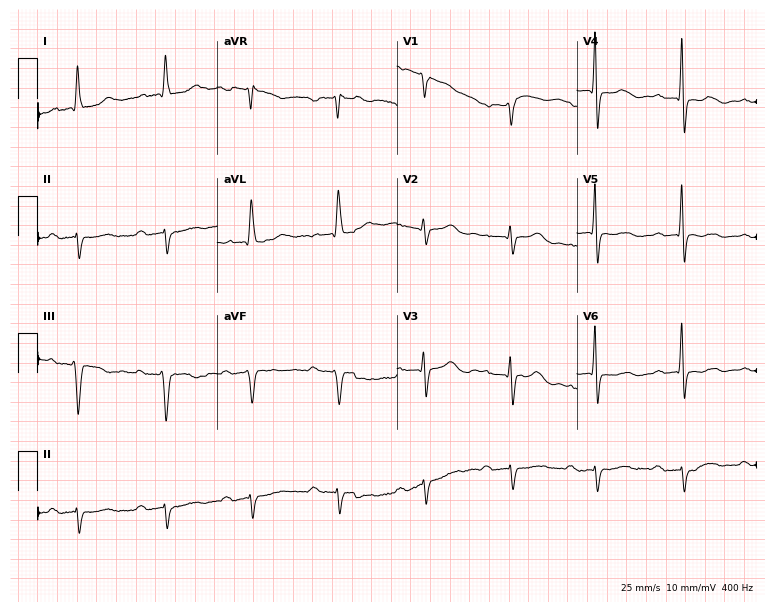
Standard 12-lead ECG recorded from a woman, 81 years old. The tracing shows first-degree AV block.